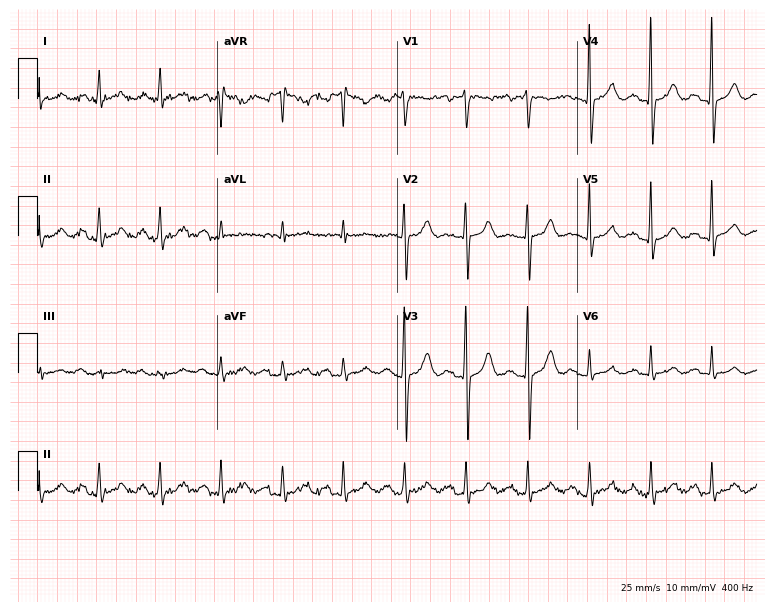
Electrocardiogram, a woman, 64 years old. Overall reading on record: normal ECG.